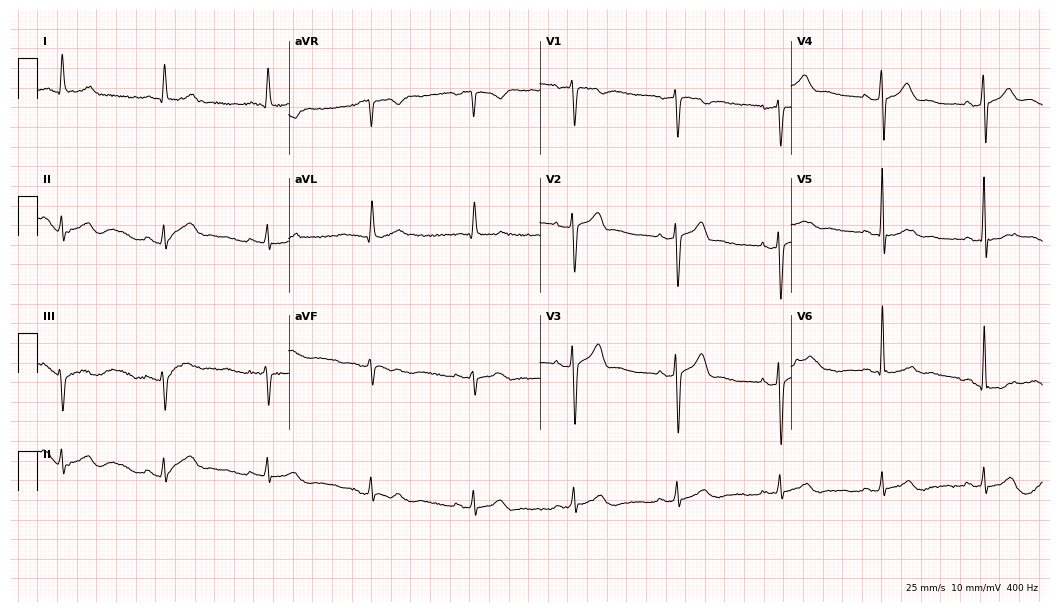
12-lead ECG from a male, 57 years old (10.2-second recording at 400 Hz). Recorded interpretation: within normal limits.